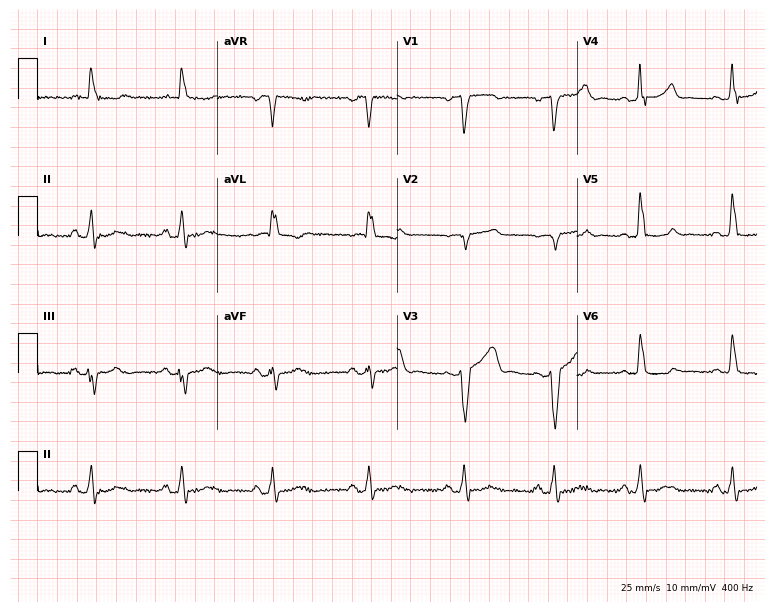
Standard 12-lead ECG recorded from a female patient, 73 years old. None of these six findings is recorded: first-degree AV block, right bundle branch block, left bundle branch block, sinus bradycardia, atrial fibrillation, sinus tachycardia.